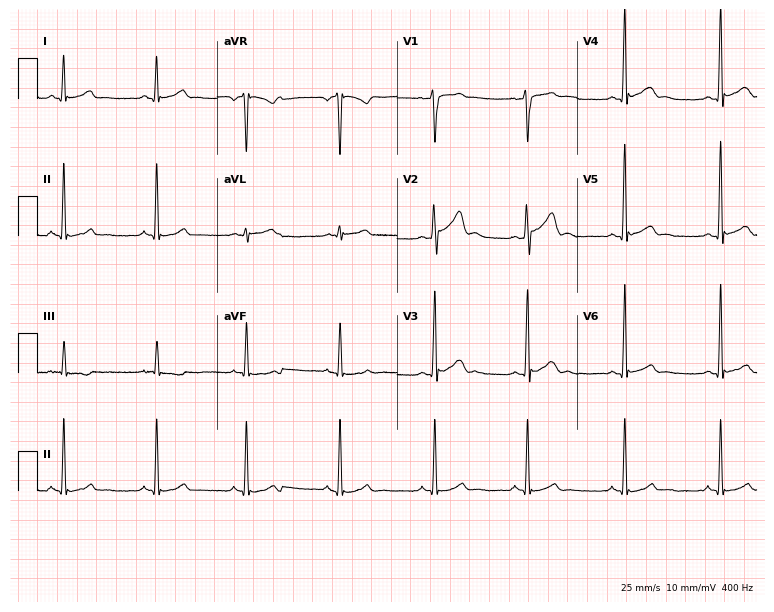
Electrocardiogram, a male, 24 years old. Of the six screened findings (first-degree AV block, right bundle branch block (RBBB), left bundle branch block (LBBB), sinus bradycardia, atrial fibrillation (AF), sinus tachycardia), none is recorded.